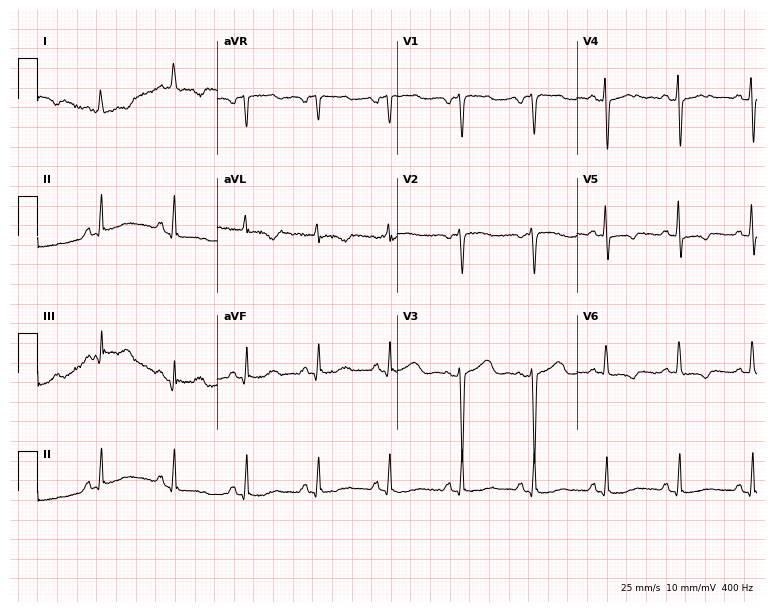
Standard 12-lead ECG recorded from a 65-year-old woman (7.3-second recording at 400 Hz). None of these six findings is recorded: first-degree AV block, right bundle branch block (RBBB), left bundle branch block (LBBB), sinus bradycardia, atrial fibrillation (AF), sinus tachycardia. Other findings, if any, are not listed.